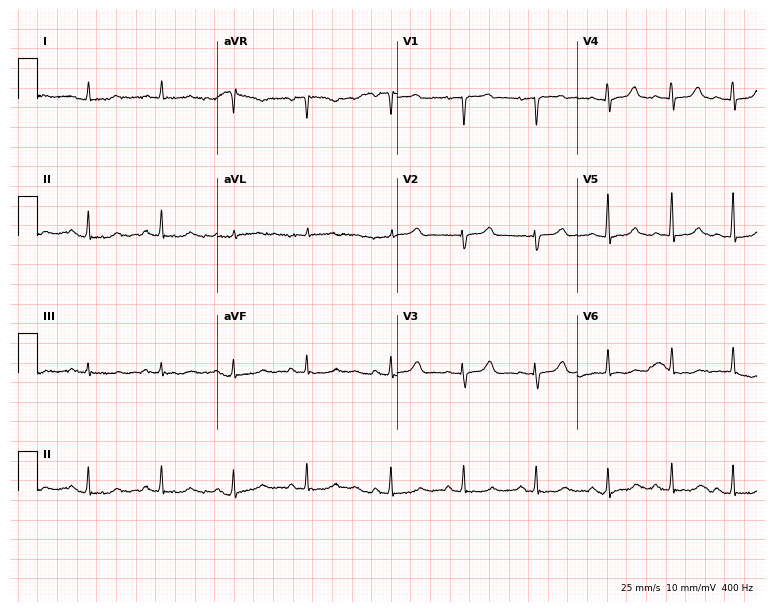
Electrocardiogram, a 64-year-old female. Overall reading on record: normal ECG.